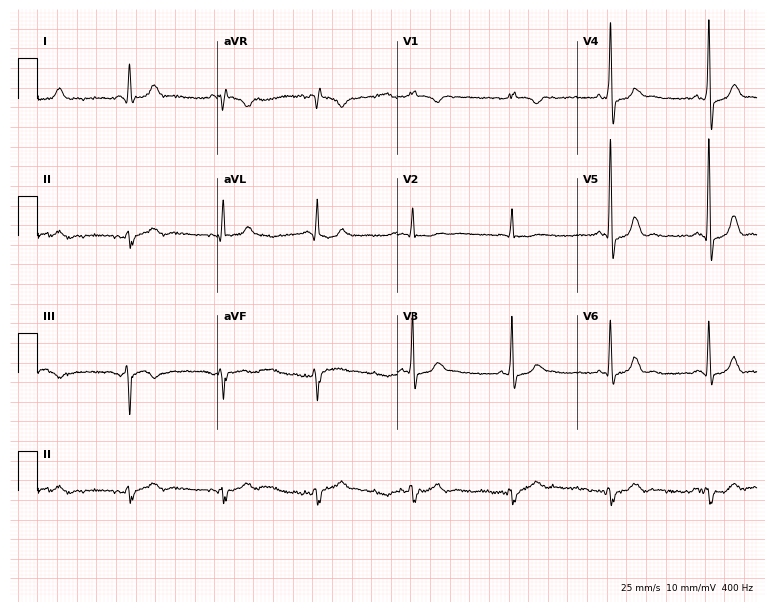
12-lead ECG from a male, 72 years old (7.3-second recording at 400 Hz). No first-degree AV block, right bundle branch block (RBBB), left bundle branch block (LBBB), sinus bradycardia, atrial fibrillation (AF) or sinus tachycardia recorded for this tracing.